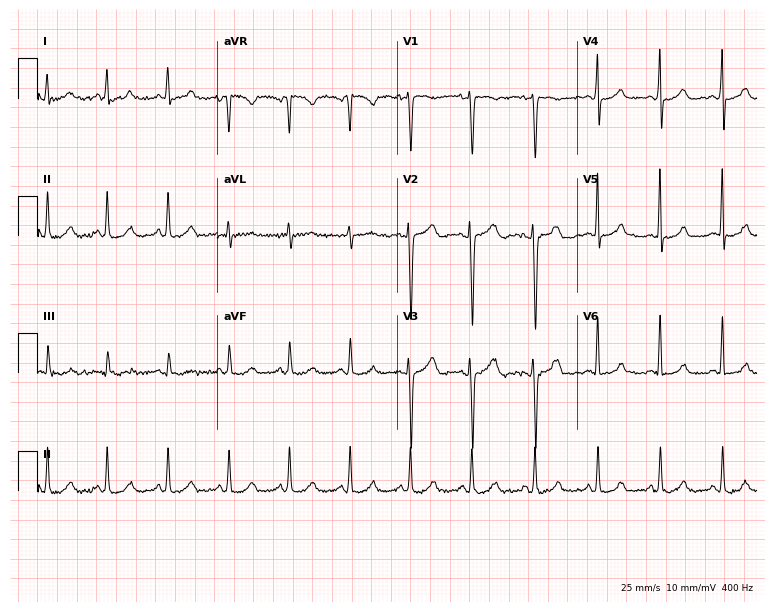
12-lead ECG from a 23-year-old female patient. Labelled as a normal ECG.